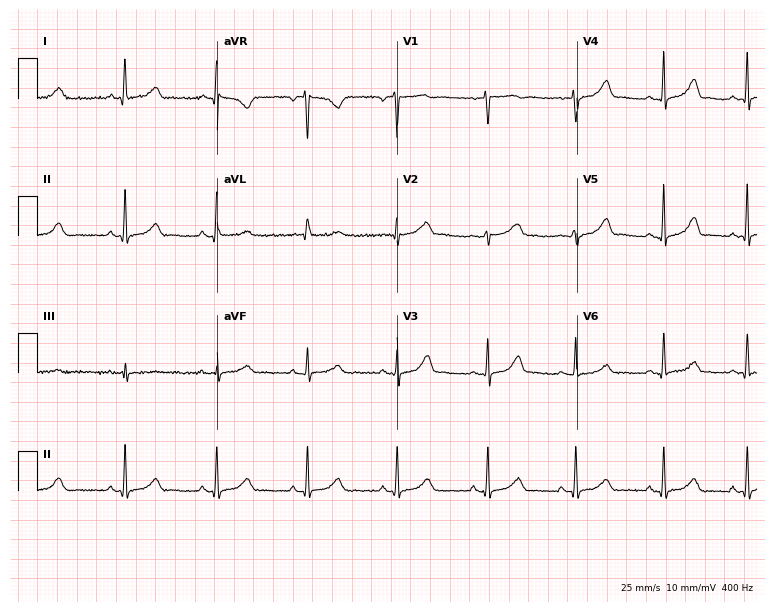
12-lead ECG from a 54-year-old female. No first-degree AV block, right bundle branch block, left bundle branch block, sinus bradycardia, atrial fibrillation or sinus tachycardia recorded for this tracing.